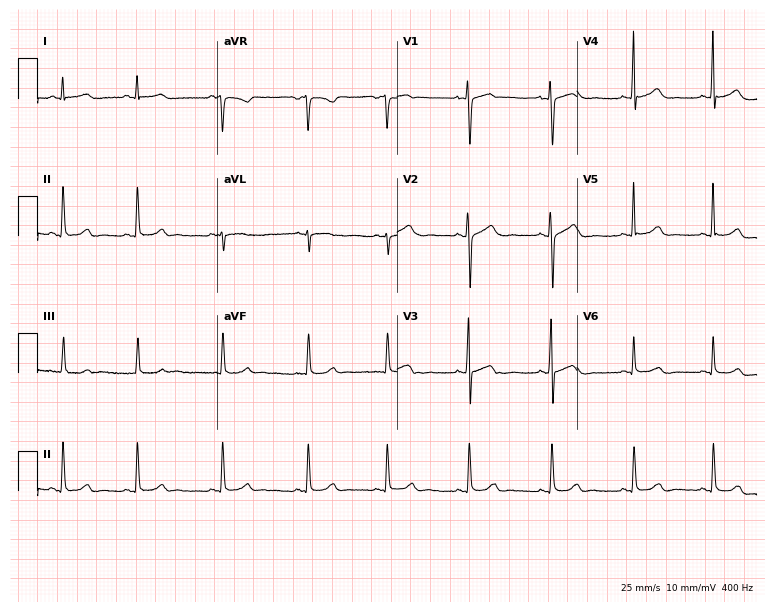
ECG (7.3-second recording at 400 Hz) — a female patient, 18 years old. Labelled as a normal ECG.